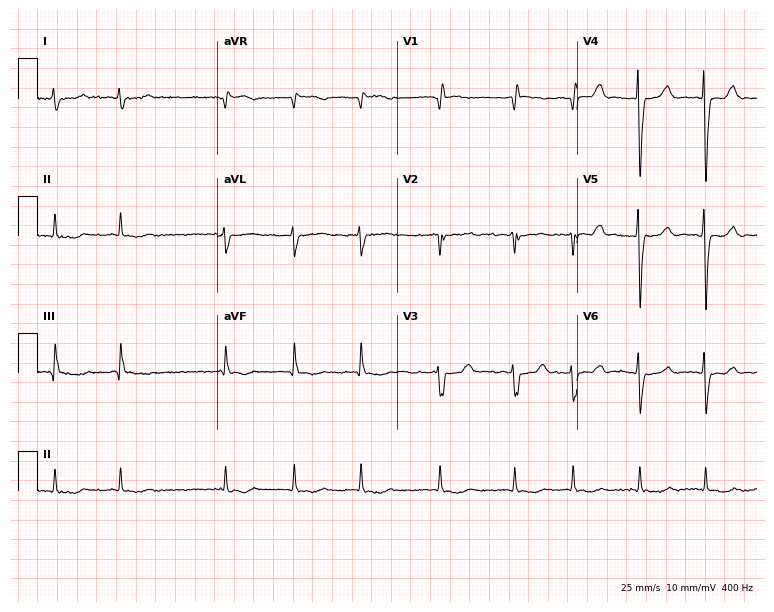
ECG (7.3-second recording at 400 Hz) — an 82-year-old female. Findings include atrial fibrillation.